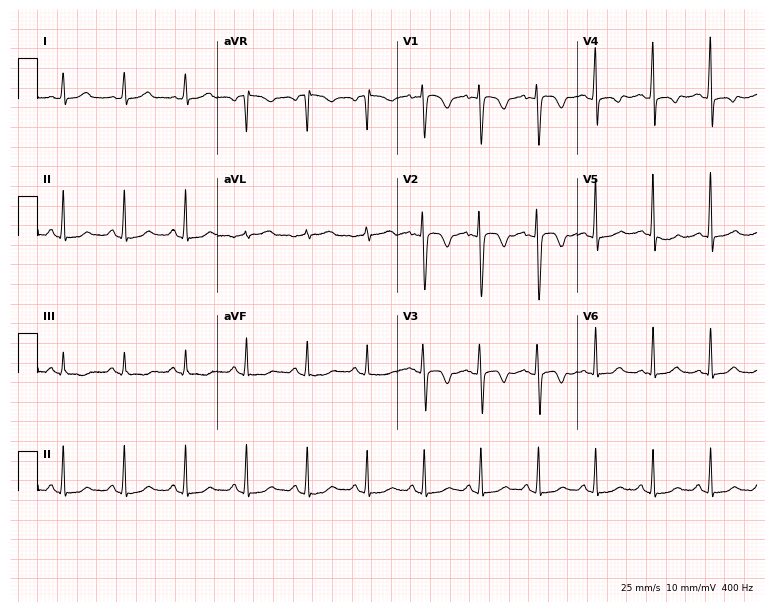
12-lead ECG from a female patient, 40 years old. No first-degree AV block, right bundle branch block, left bundle branch block, sinus bradycardia, atrial fibrillation or sinus tachycardia recorded for this tracing.